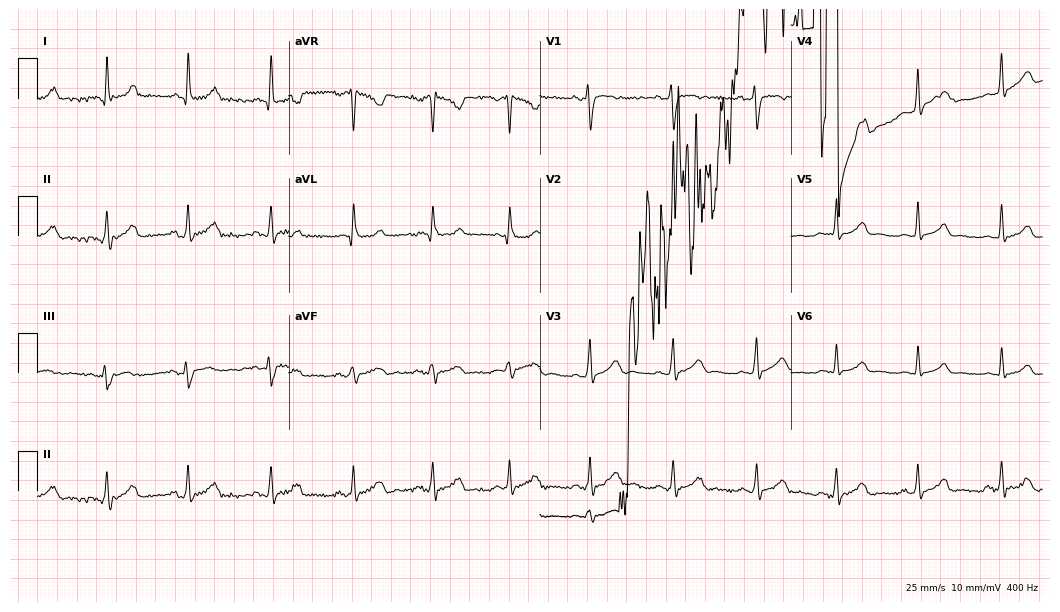
Standard 12-lead ECG recorded from a woman, 27 years old (10.2-second recording at 400 Hz). None of these six findings is recorded: first-degree AV block, right bundle branch block, left bundle branch block, sinus bradycardia, atrial fibrillation, sinus tachycardia. Other findings, if any, are not listed.